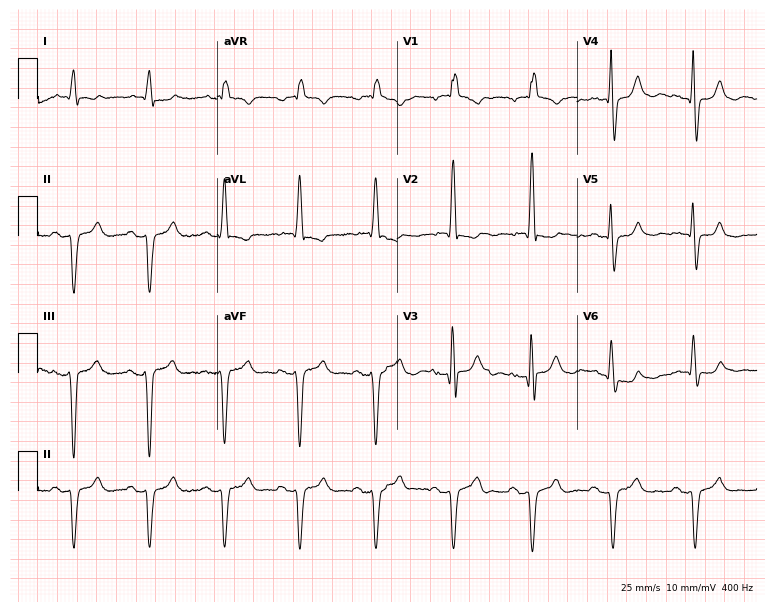
Standard 12-lead ECG recorded from a 79-year-old man. The tracing shows right bundle branch block.